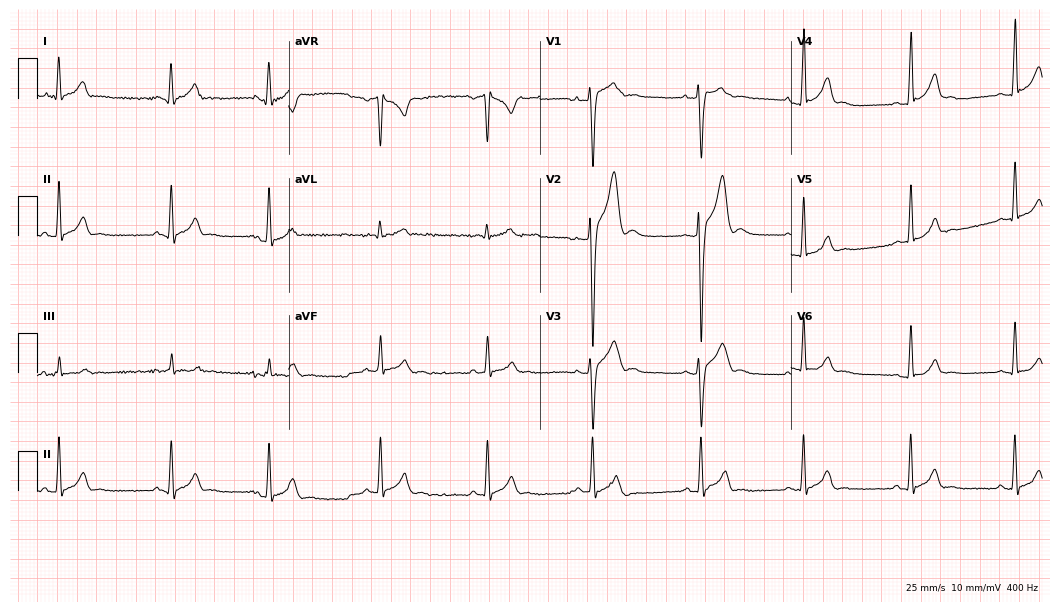
12-lead ECG (10.2-second recording at 400 Hz) from a male, 18 years old. Screened for six findings — first-degree AV block, right bundle branch block, left bundle branch block, sinus bradycardia, atrial fibrillation, sinus tachycardia — none is recorded.